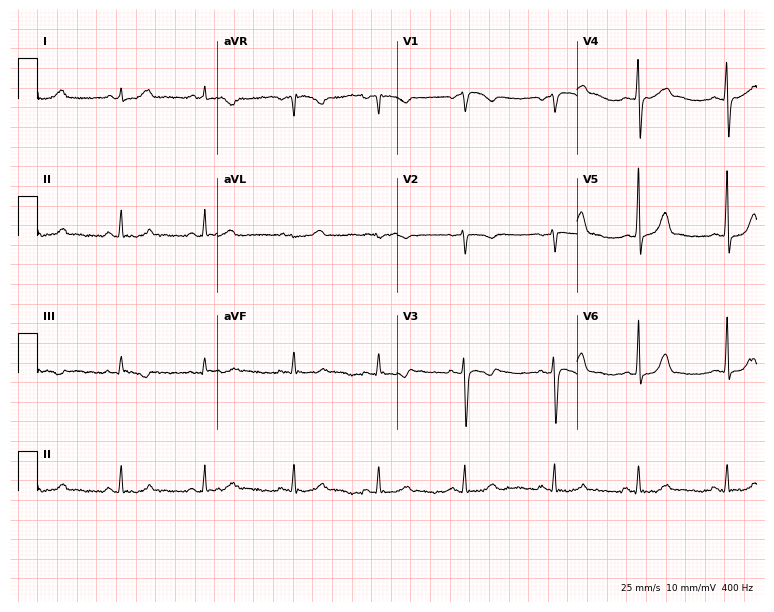
12-lead ECG (7.3-second recording at 400 Hz) from a 28-year-old female. Screened for six findings — first-degree AV block, right bundle branch block, left bundle branch block, sinus bradycardia, atrial fibrillation, sinus tachycardia — none is recorded. Other findings, if any, are not listed.